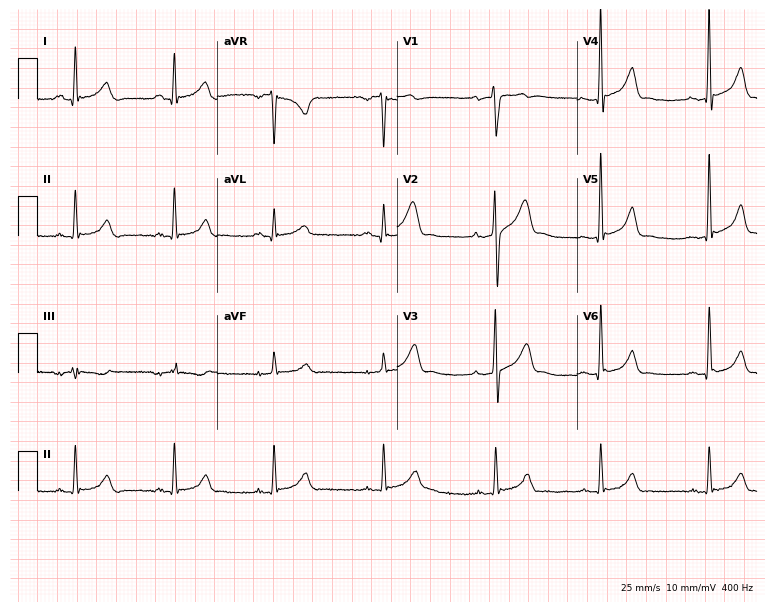
12-lead ECG from a male patient, 26 years old (7.3-second recording at 400 Hz). No first-degree AV block, right bundle branch block (RBBB), left bundle branch block (LBBB), sinus bradycardia, atrial fibrillation (AF) or sinus tachycardia recorded for this tracing. Only these six findings were labelled.